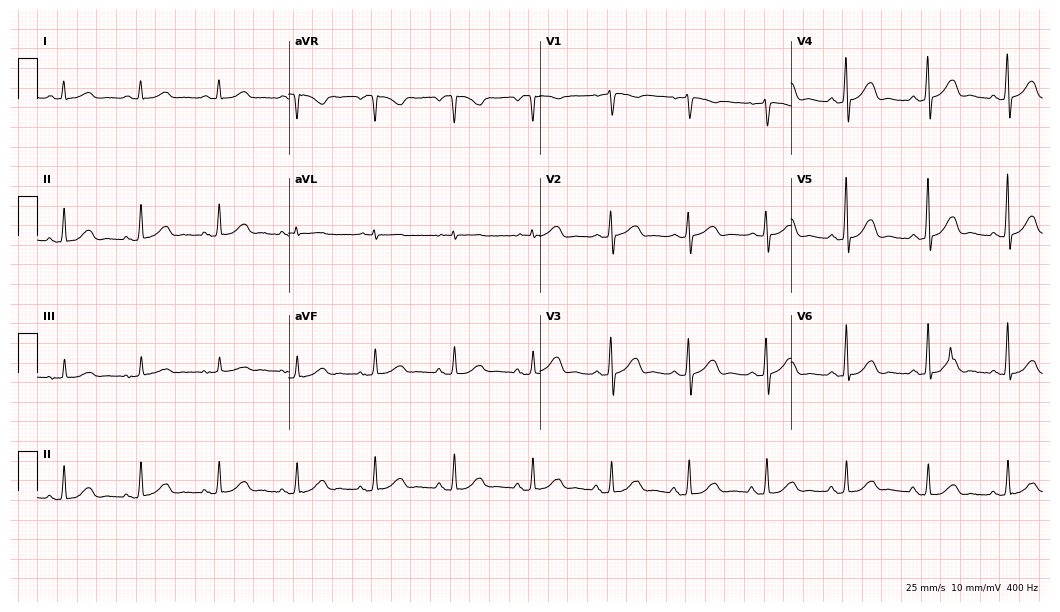
Electrocardiogram (10.2-second recording at 400 Hz), a female patient, 68 years old. Overall reading on record: normal ECG.